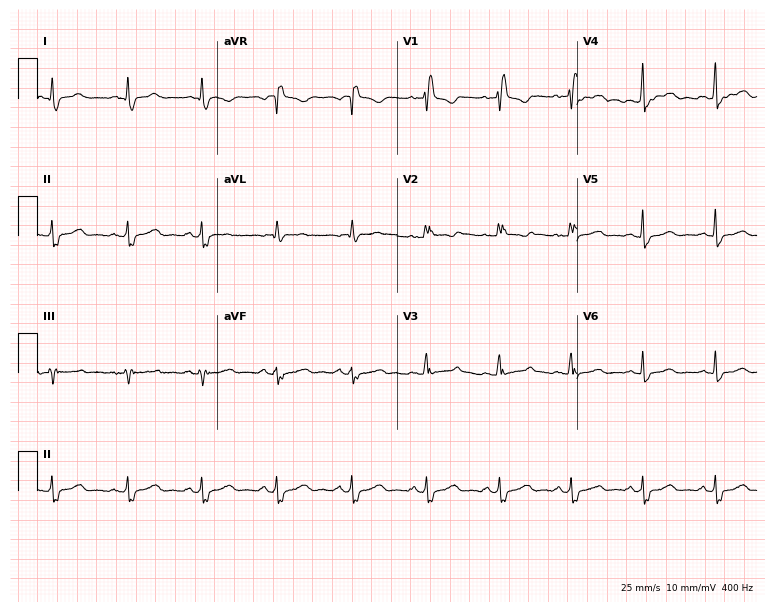
12-lead ECG from a 39-year-old female (7.3-second recording at 400 Hz). No first-degree AV block, right bundle branch block, left bundle branch block, sinus bradycardia, atrial fibrillation or sinus tachycardia recorded for this tracing. Other findings, if any, are not listed.